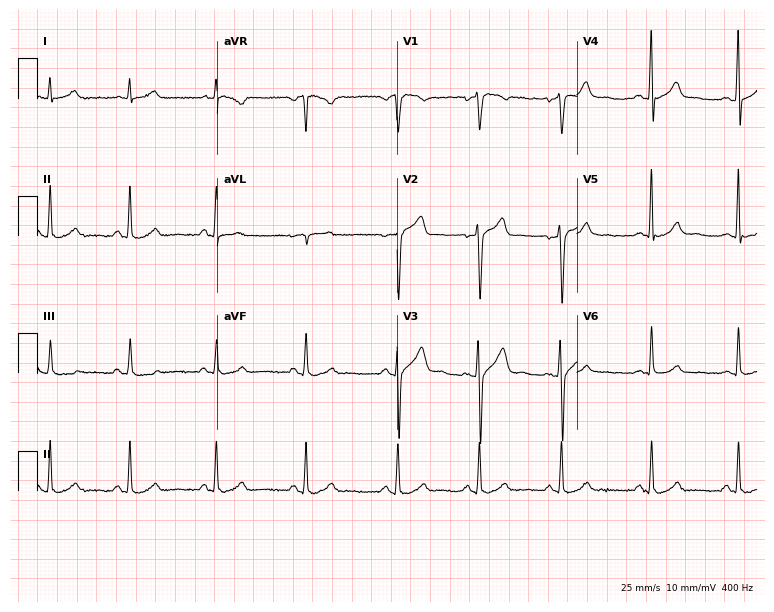
12-lead ECG from a 36-year-old man. Labelled as a normal ECG.